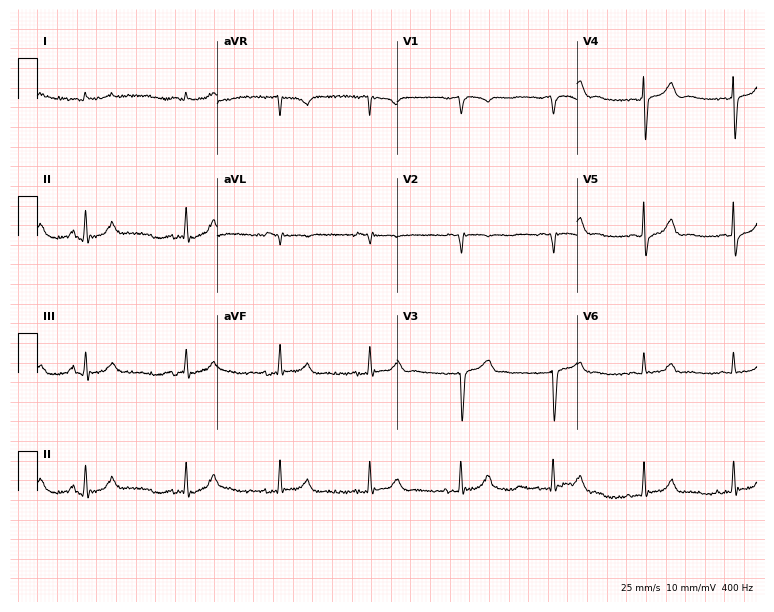
12-lead ECG from a man, 73 years old. No first-degree AV block, right bundle branch block, left bundle branch block, sinus bradycardia, atrial fibrillation or sinus tachycardia recorded for this tracing. Findings outside these six are not listed.